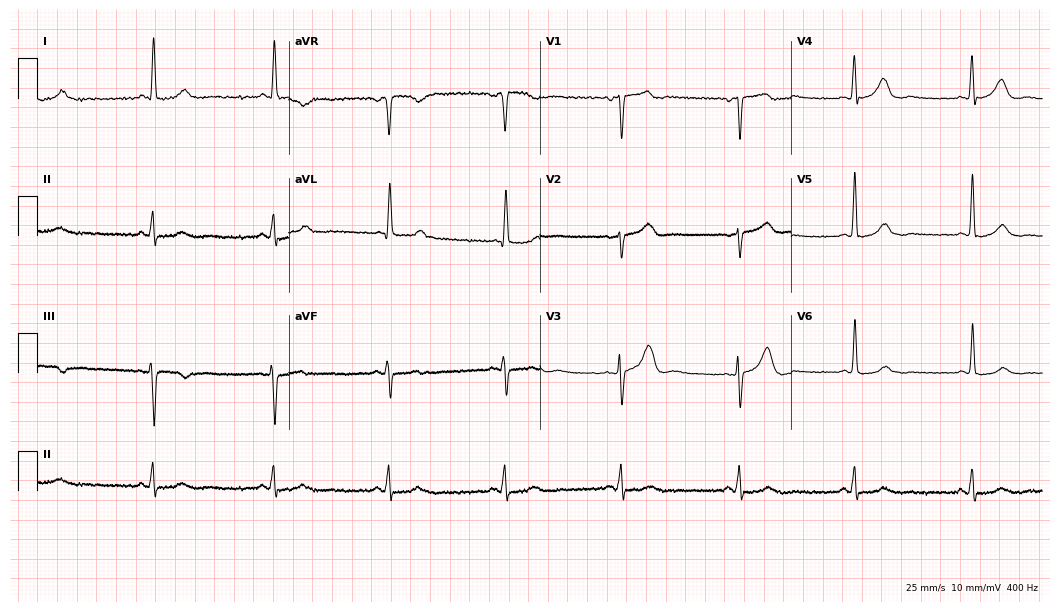
Standard 12-lead ECG recorded from an 81-year-old female (10.2-second recording at 400 Hz). The tracing shows sinus bradycardia (a sinus rate of 50 beats per minute or less).